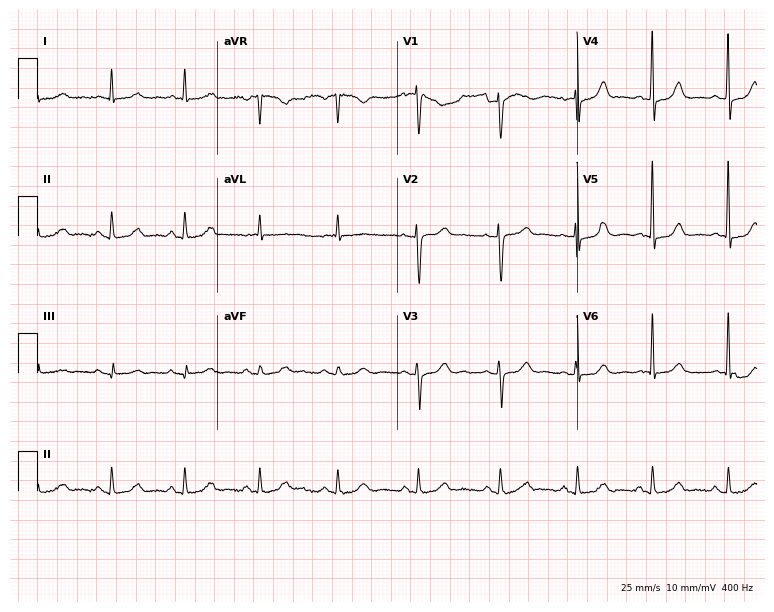
12-lead ECG from a 73-year-old woman. No first-degree AV block, right bundle branch block, left bundle branch block, sinus bradycardia, atrial fibrillation or sinus tachycardia recorded for this tracing. Only these six findings were labelled.